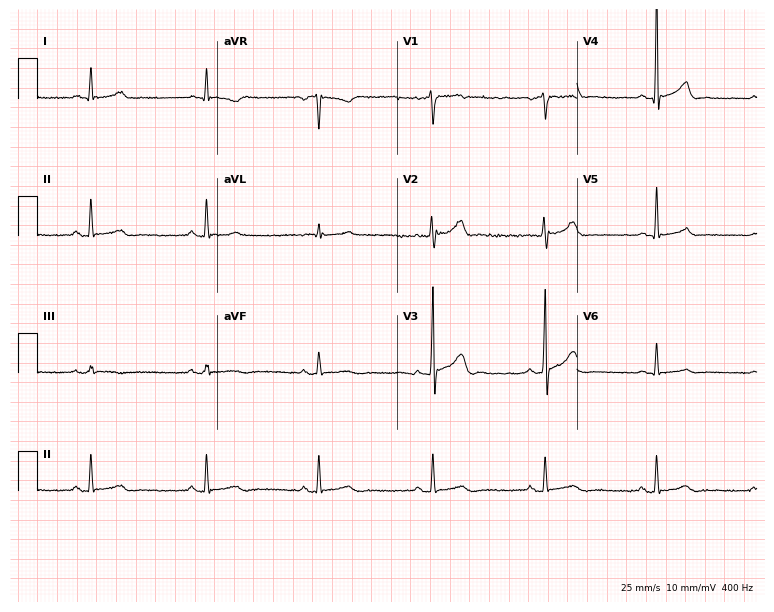
Electrocardiogram, a 50-year-old man. Overall reading on record: normal ECG.